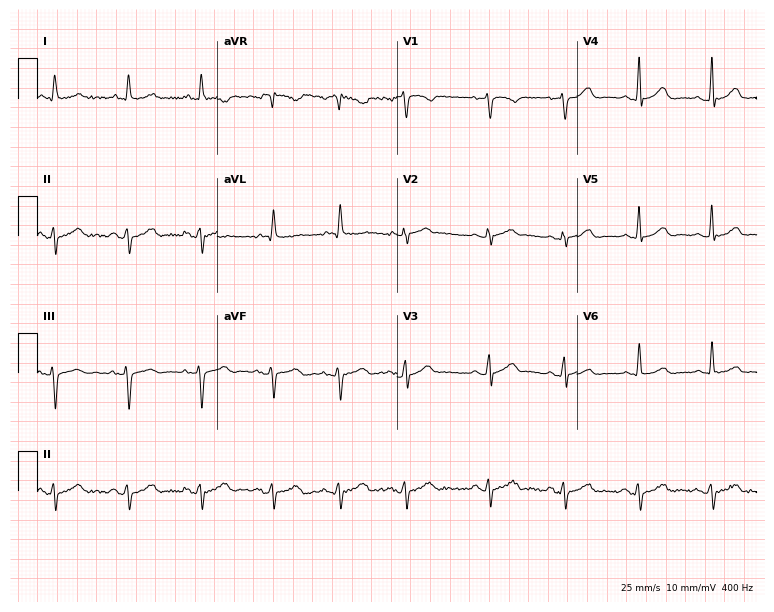
Resting 12-lead electrocardiogram (7.3-second recording at 400 Hz). Patient: a female, 78 years old. None of these six findings is recorded: first-degree AV block, right bundle branch block, left bundle branch block, sinus bradycardia, atrial fibrillation, sinus tachycardia.